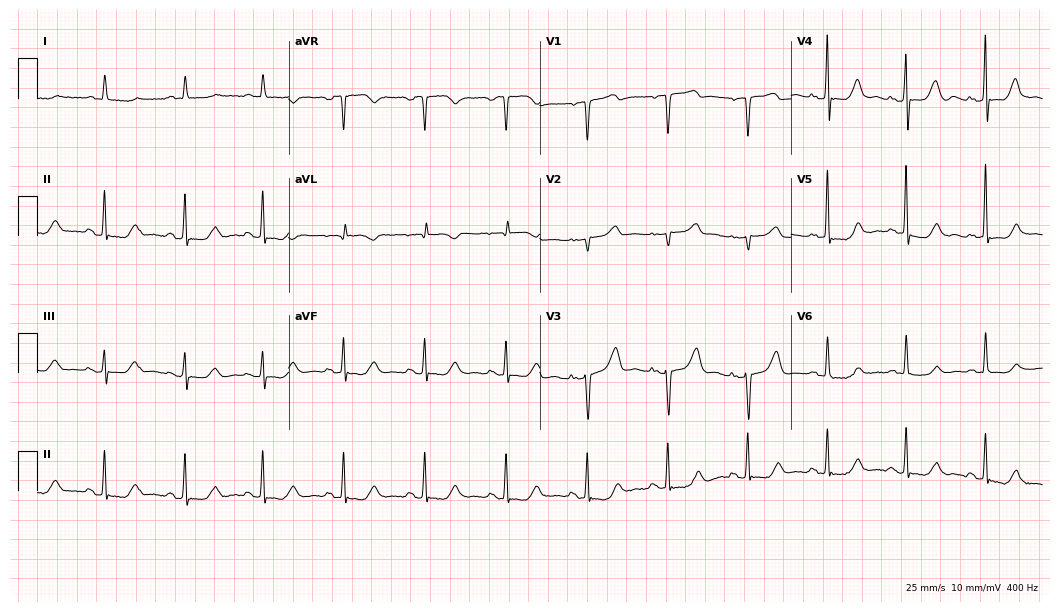
ECG (10.2-second recording at 400 Hz) — a 71-year-old female. Screened for six findings — first-degree AV block, right bundle branch block, left bundle branch block, sinus bradycardia, atrial fibrillation, sinus tachycardia — none is recorded. Other findings, if any, are not listed.